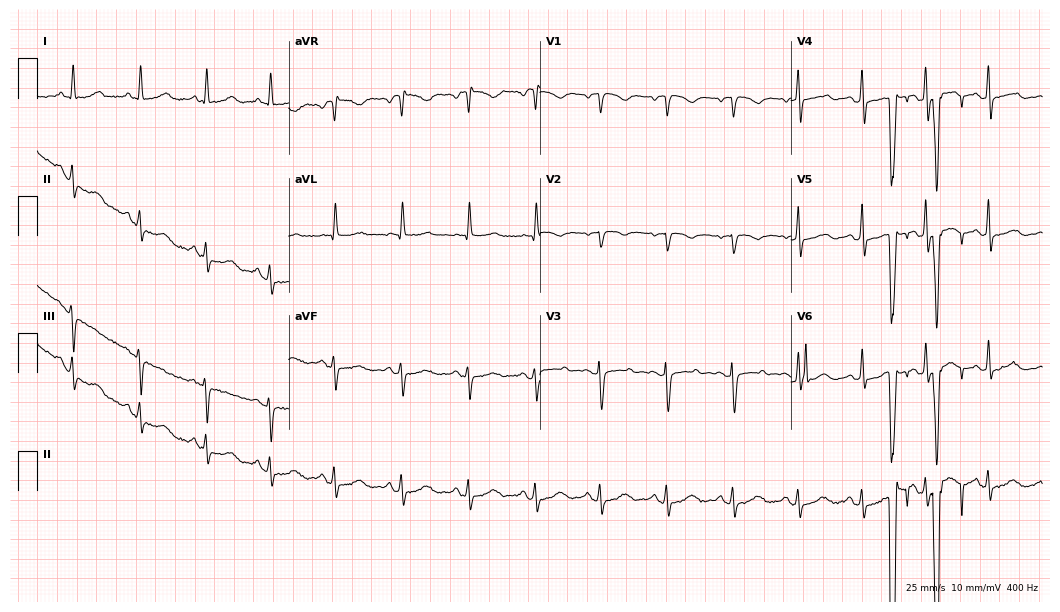
Electrocardiogram (10.2-second recording at 400 Hz), a female patient, 44 years old. Overall reading on record: normal ECG.